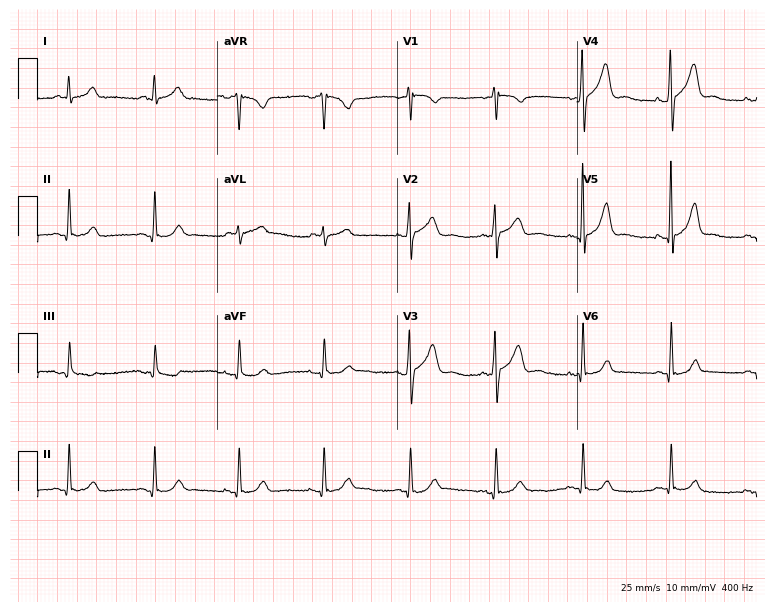
ECG — a male patient, 50 years old. Labelled as a normal ECG.